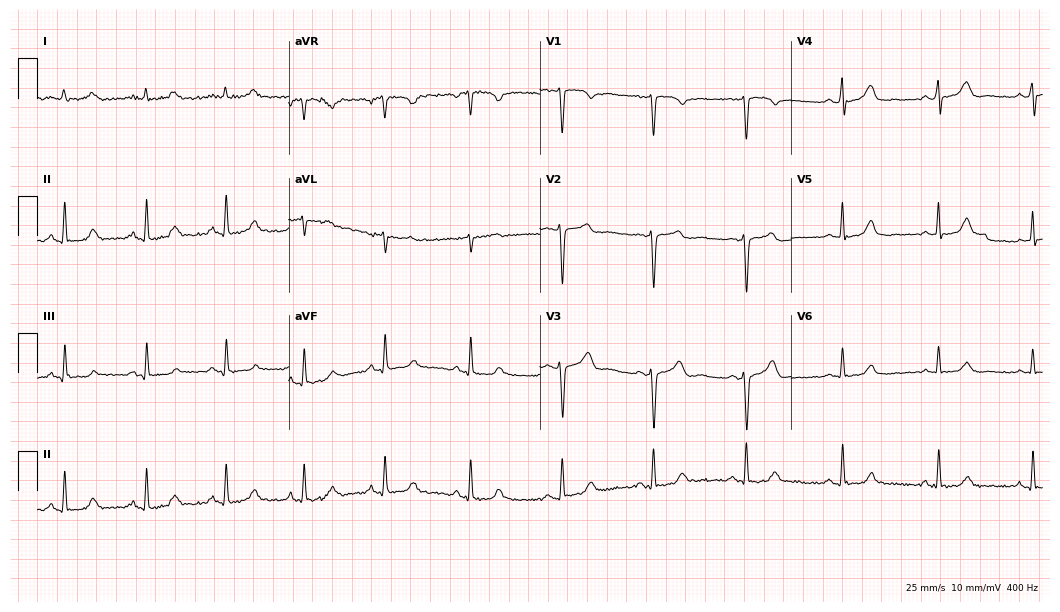
Electrocardiogram, a female, 41 years old. Overall reading on record: normal ECG.